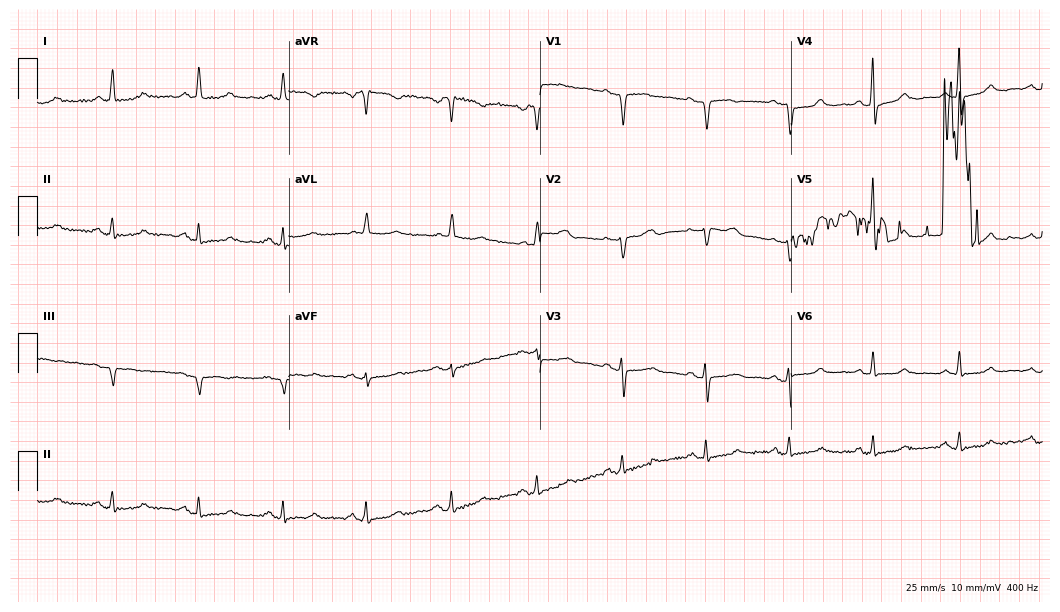
Electrocardiogram, a woman, 70 years old. Of the six screened findings (first-degree AV block, right bundle branch block, left bundle branch block, sinus bradycardia, atrial fibrillation, sinus tachycardia), none is recorded. Findings outside these six are not listed.